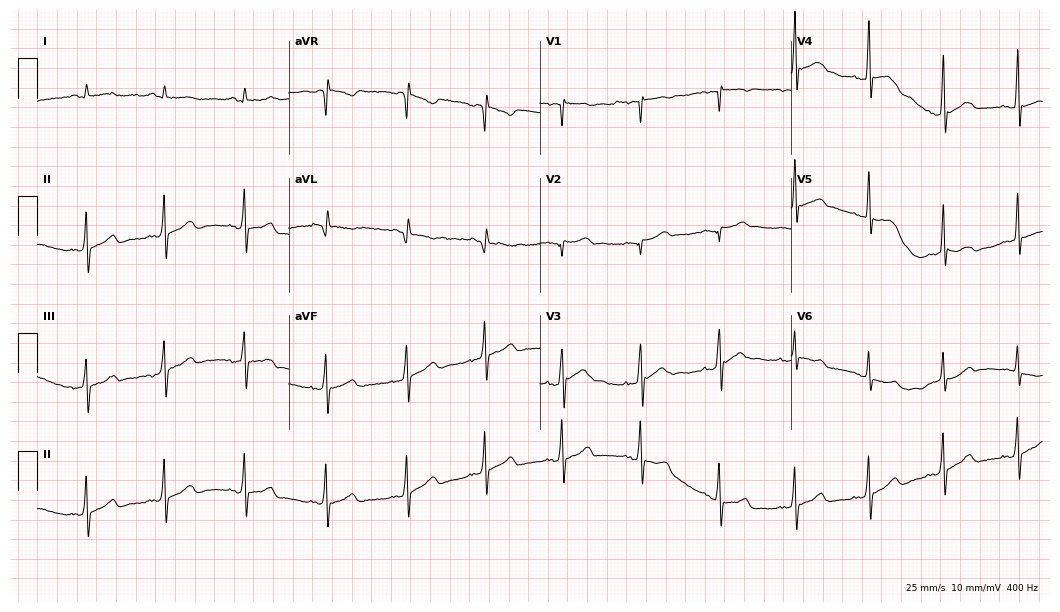
Electrocardiogram (10.2-second recording at 400 Hz), a 32-year-old male patient. Overall reading on record: normal ECG.